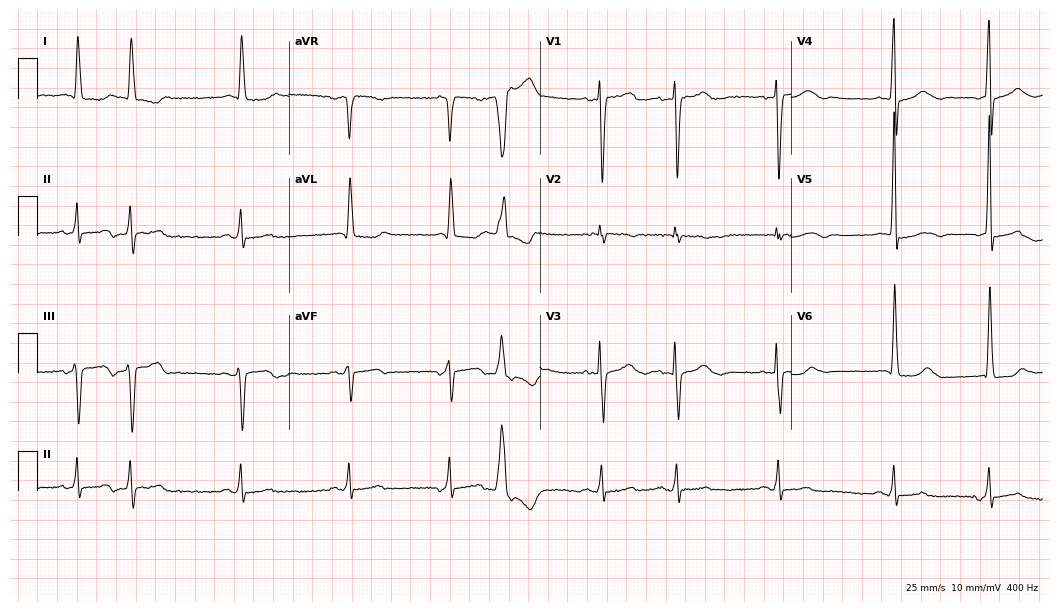
ECG (10.2-second recording at 400 Hz) — a woman, 81 years old. Screened for six findings — first-degree AV block, right bundle branch block, left bundle branch block, sinus bradycardia, atrial fibrillation, sinus tachycardia — none is recorded.